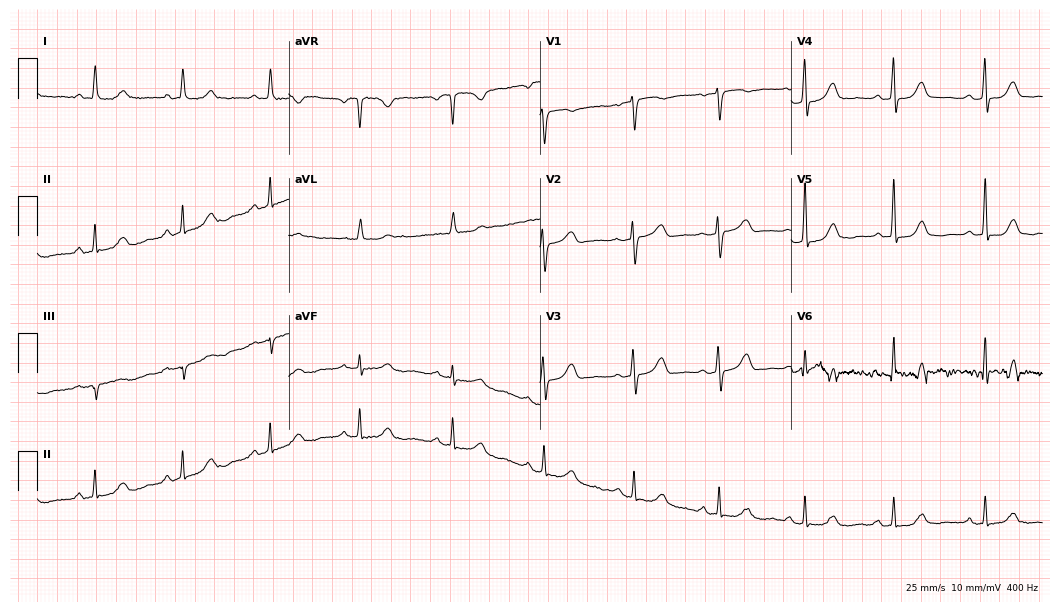
Resting 12-lead electrocardiogram. Patient: a woman, 54 years old. Read as a normal ECG.